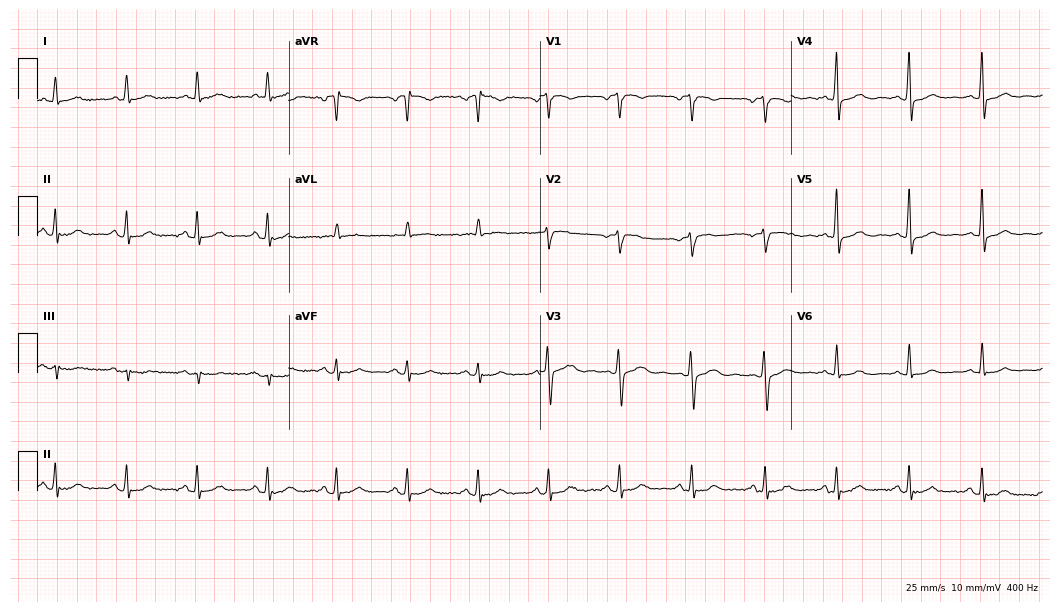
Standard 12-lead ECG recorded from a 52-year-old female patient. Read as a normal ECG.